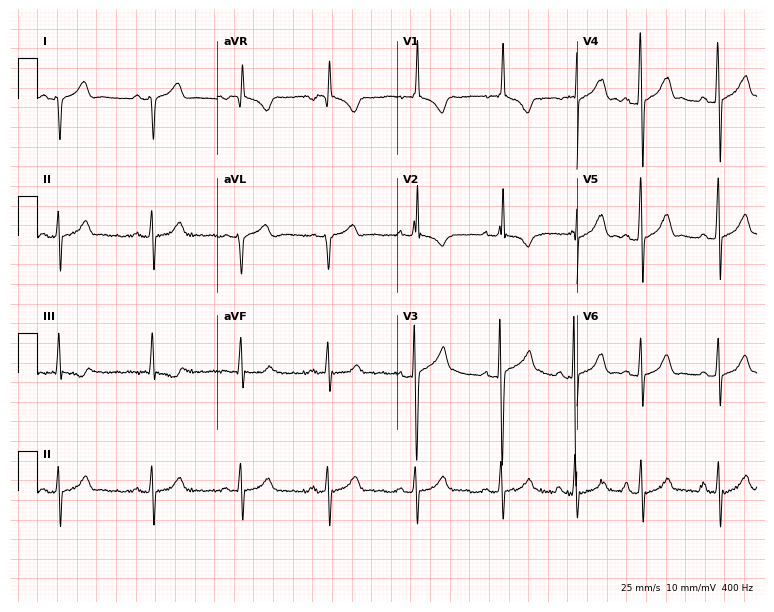
ECG — a male patient, 20 years old. Screened for six findings — first-degree AV block, right bundle branch block (RBBB), left bundle branch block (LBBB), sinus bradycardia, atrial fibrillation (AF), sinus tachycardia — none is recorded. Findings outside these six are not listed.